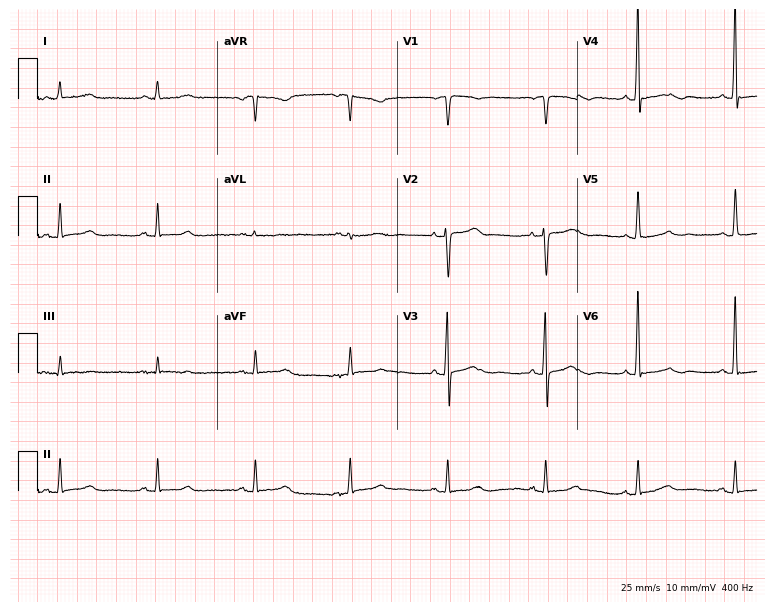
12-lead ECG from a 71-year-old female. Recorded interpretation: within normal limits.